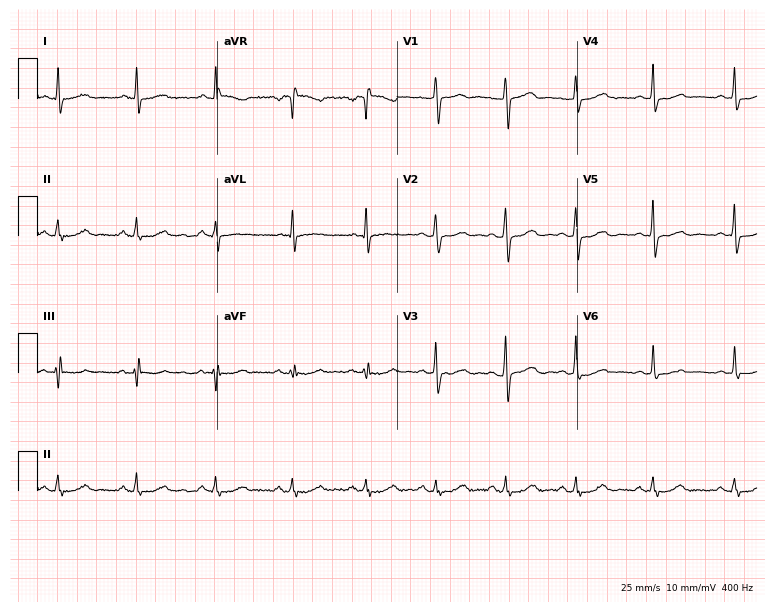
ECG — a 47-year-old female. Labelled as a normal ECG.